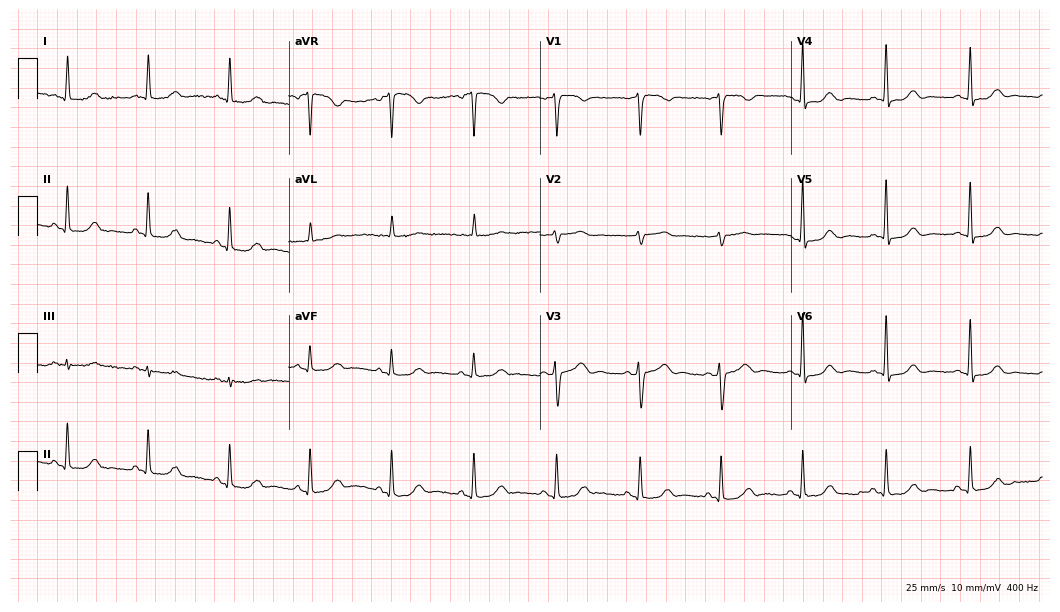
Resting 12-lead electrocardiogram (10.2-second recording at 400 Hz). Patient: a 75-year-old female. Read as a normal ECG.